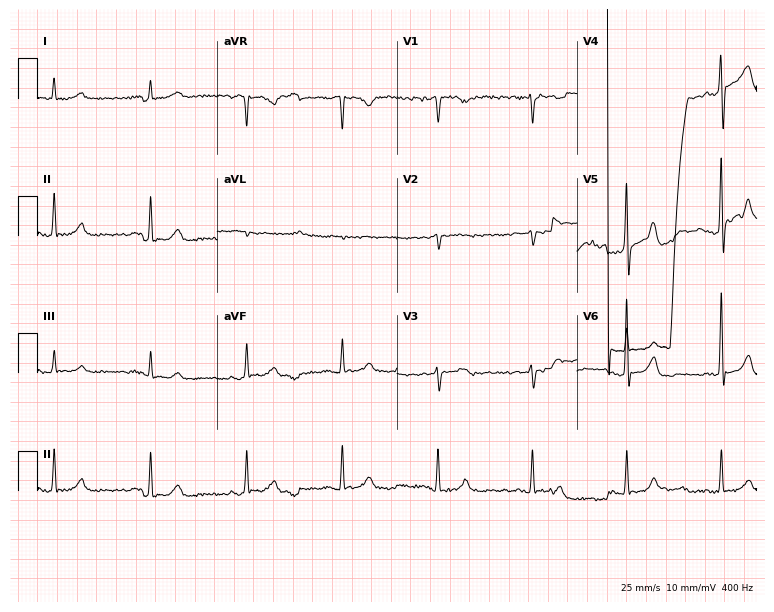
ECG (7.3-second recording at 400 Hz) — a male patient, 71 years old. Screened for six findings — first-degree AV block, right bundle branch block, left bundle branch block, sinus bradycardia, atrial fibrillation, sinus tachycardia — none is recorded.